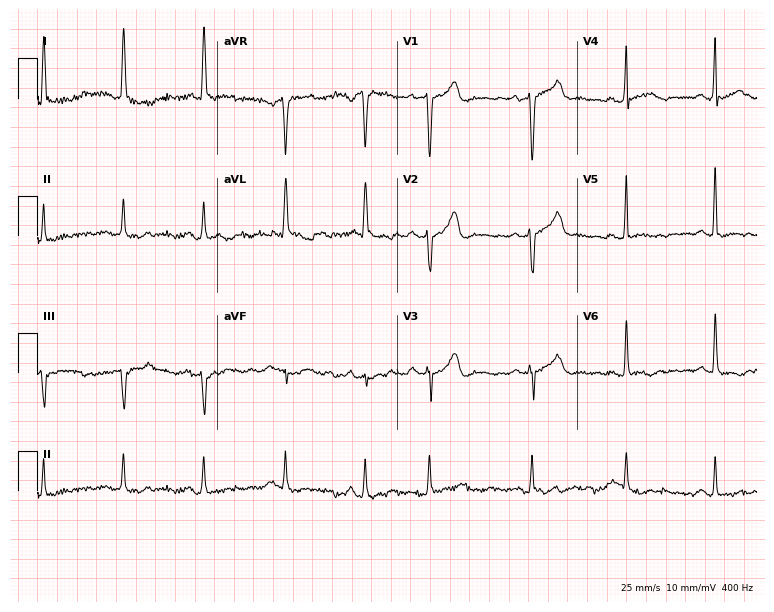
Resting 12-lead electrocardiogram. Patient: a woman, 73 years old. None of these six findings is recorded: first-degree AV block, right bundle branch block, left bundle branch block, sinus bradycardia, atrial fibrillation, sinus tachycardia. Findings outside these six are not listed.